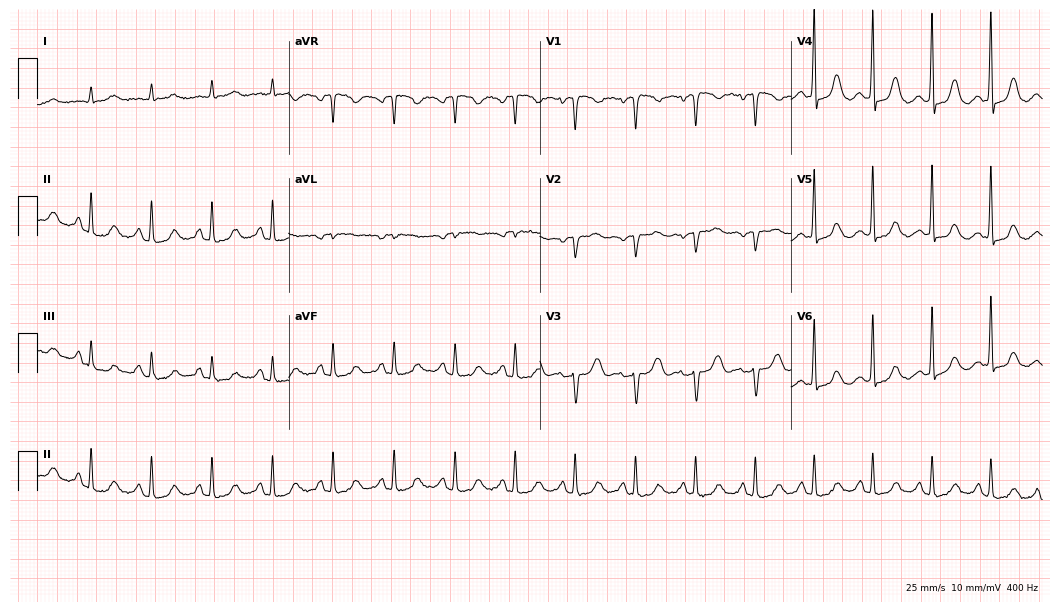
12-lead ECG from a 78-year-old woman. No first-degree AV block, right bundle branch block (RBBB), left bundle branch block (LBBB), sinus bradycardia, atrial fibrillation (AF) or sinus tachycardia recorded for this tracing.